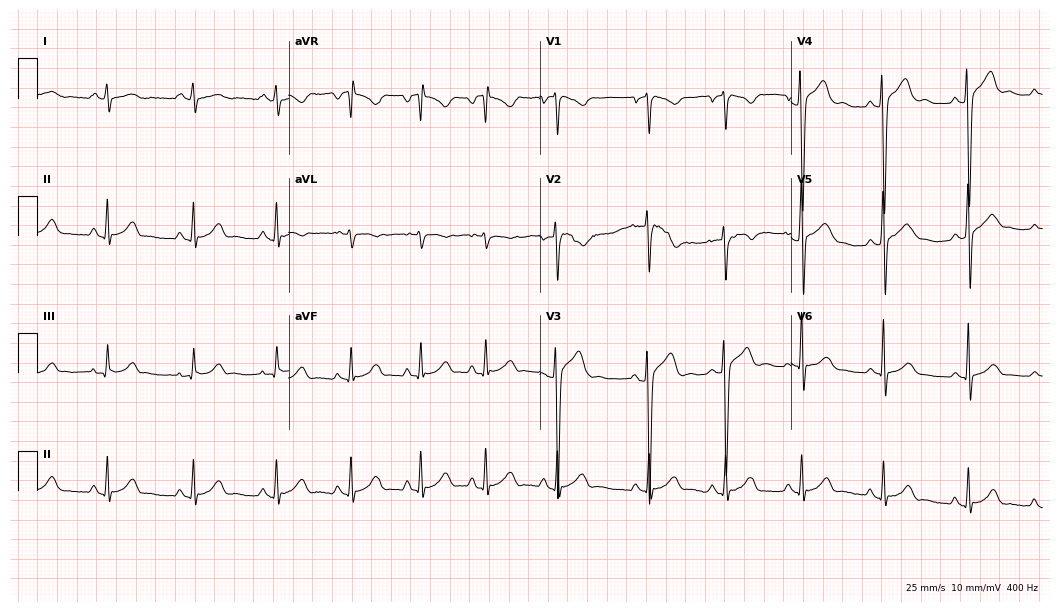
12-lead ECG from a male, 20 years old (10.2-second recording at 400 Hz). Recorded interpretation: within normal limits.